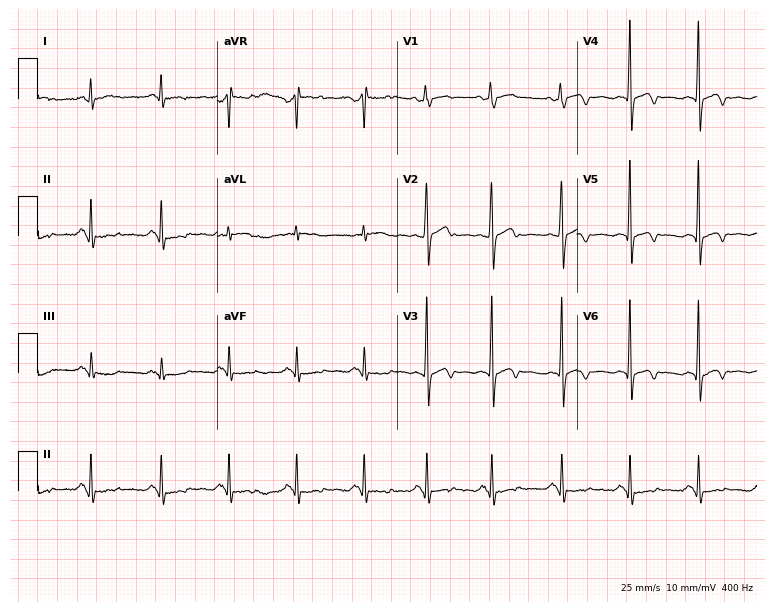
Resting 12-lead electrocardiogram (7.3-second recording at 400 Hz). Patient: a 62-year-old male. None of these six findings is recorded: first-degree AV block, right bundle branch block, left bundle branch block, sinus bradycardia, atrial fibrillation, sinus tachycardia. Other findings, if any, are not listed.